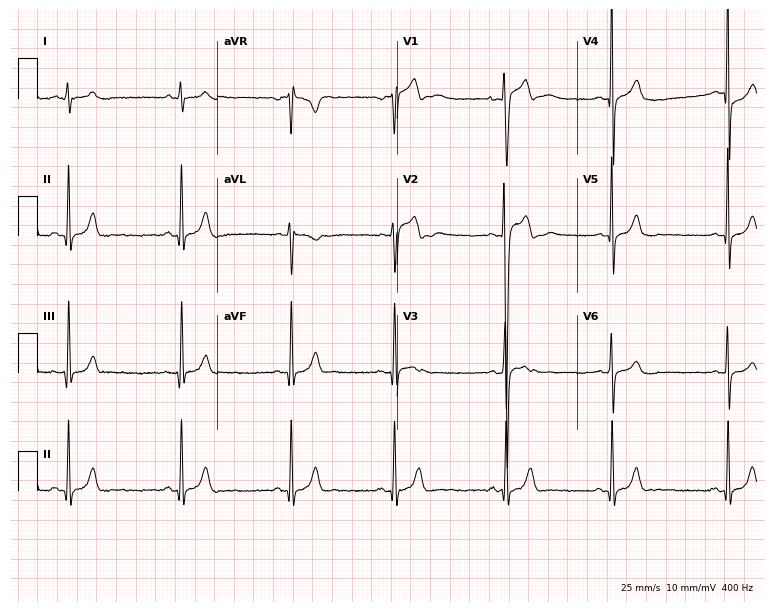
12-lead ECG from a male, 23 years old. Screened for six findings — first-degree AV block, right bundle branch block, left bundle branch block, sinus bradycardia, atrial fibrillation, sinus tachycardia — none is recorded.